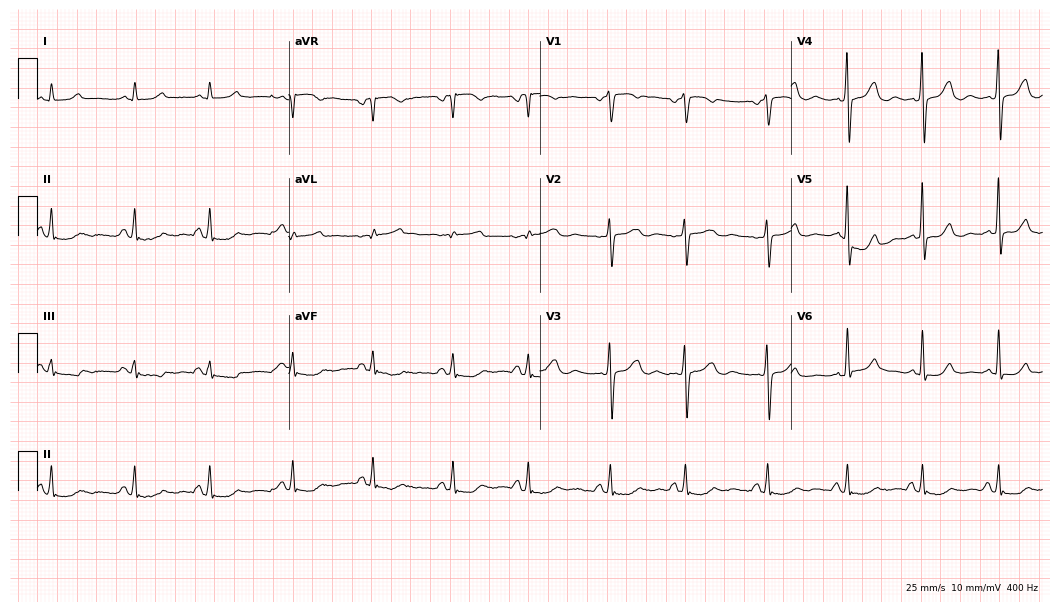
ECG — a female, 53 years old. Screened for six findings — first-degree AV block, right bundle branch block, left bundle branch block, sinus bradycardia, atrial fibrillation, sinus tachycardia — none is recorded.